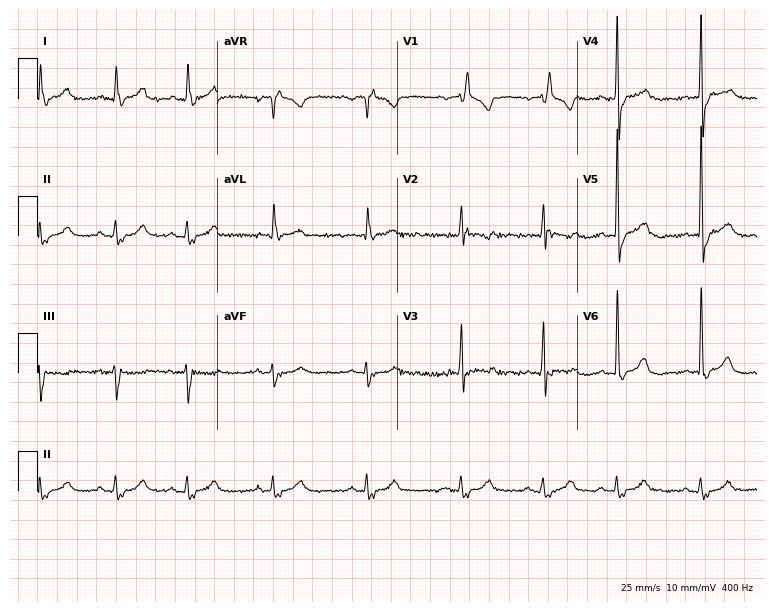
Electrocardiogram (7.3-second recording at 400 Hz), a man, 64 years old. Interpretation includes right bundle branch block.